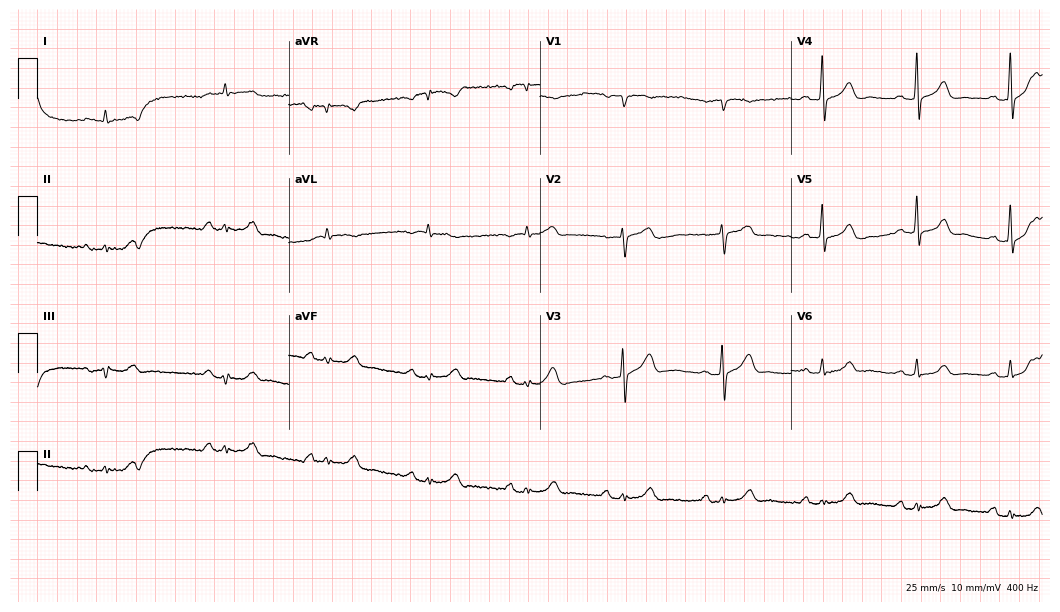
Resting 12-lead electrocardiogram (10.2-second recording at 400 Hz). Patient: an 81-year-old male. Read as a normal ECG.